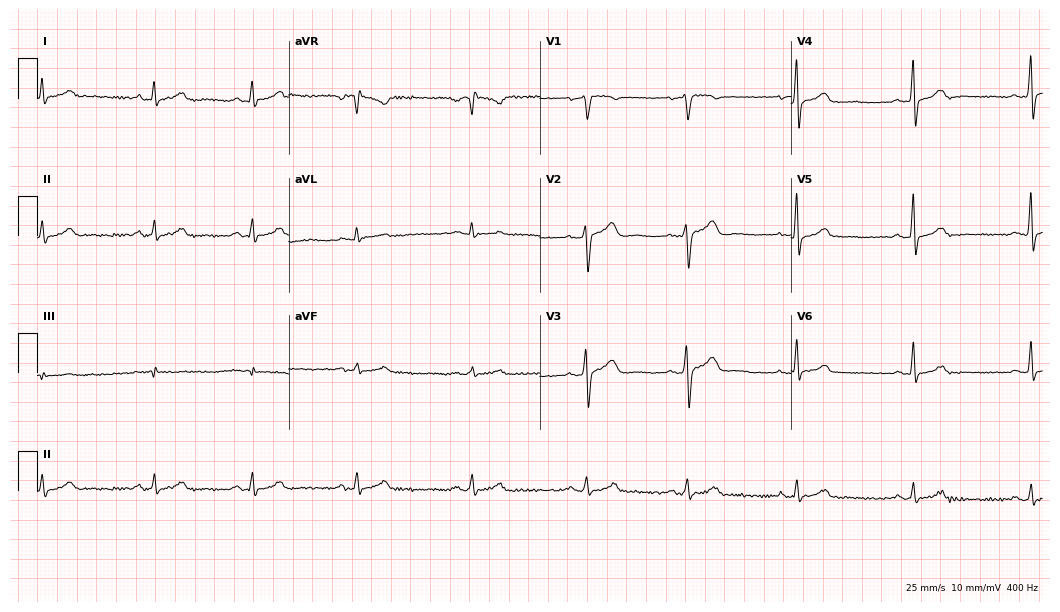
Standard 12-lead ECG recorded from a male patient, 39 years old (10.2-second recording at 400 Hz). Read as a normal ECG.